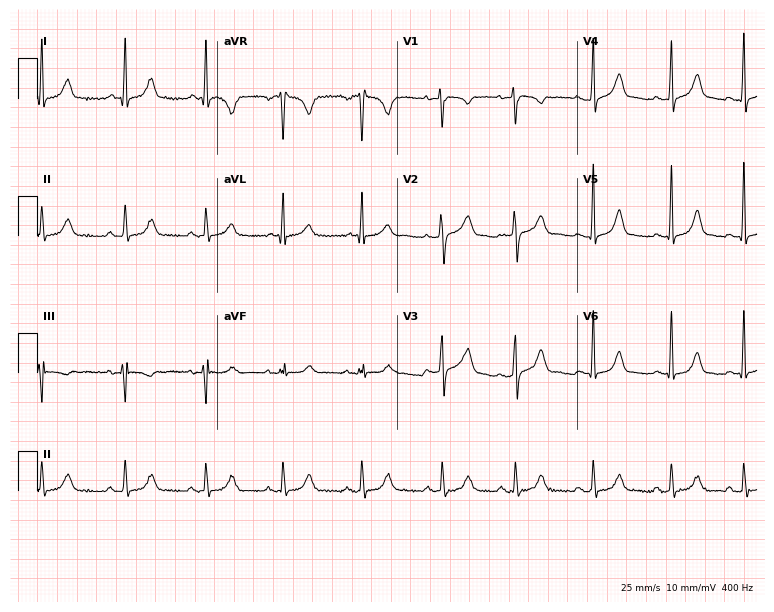
Standard 12-lead ECG recorded from a 31-year-old female (7.3-second recording at 400 Hz). Read as a normal ECG.